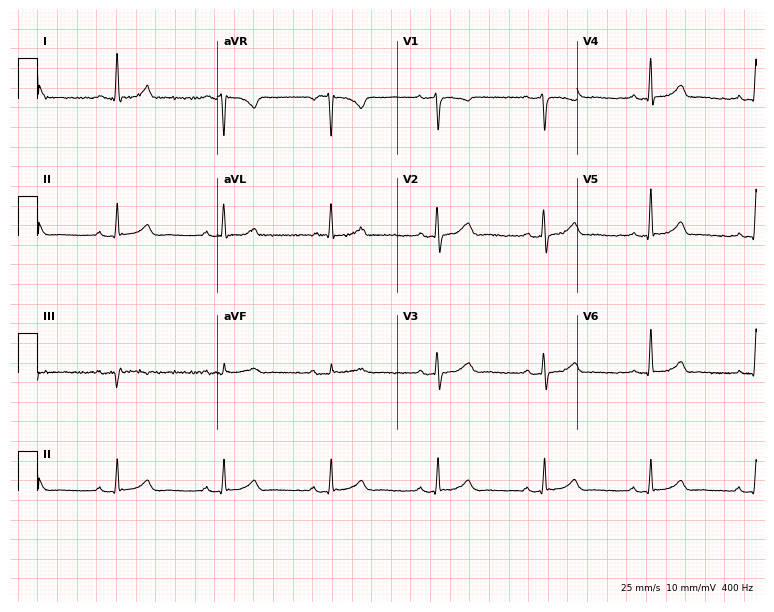
12-lead ECG from a 70-year-old female patient (7.3-second recording at 400 Hz). No first-degree AV block, right bundle branch block, left bundle branch block, sinus bradycardia, atrial fibrillation or sinus tachycardia recorded for this tracing. Only these six findings were labelled.